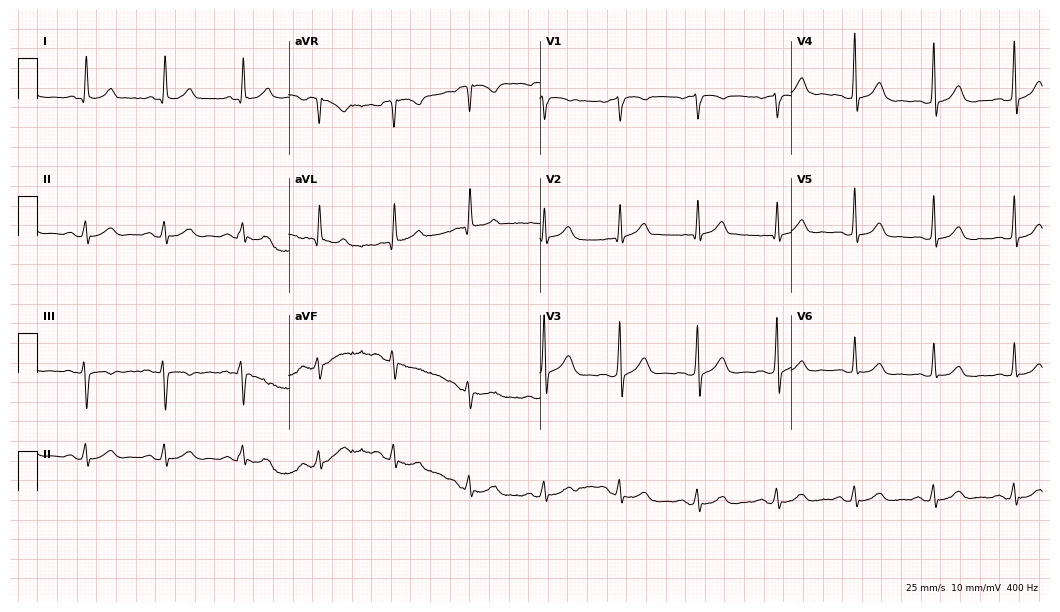
Electrocardiogram, a 78-year-old male. Overall reading on record: normal ECG.